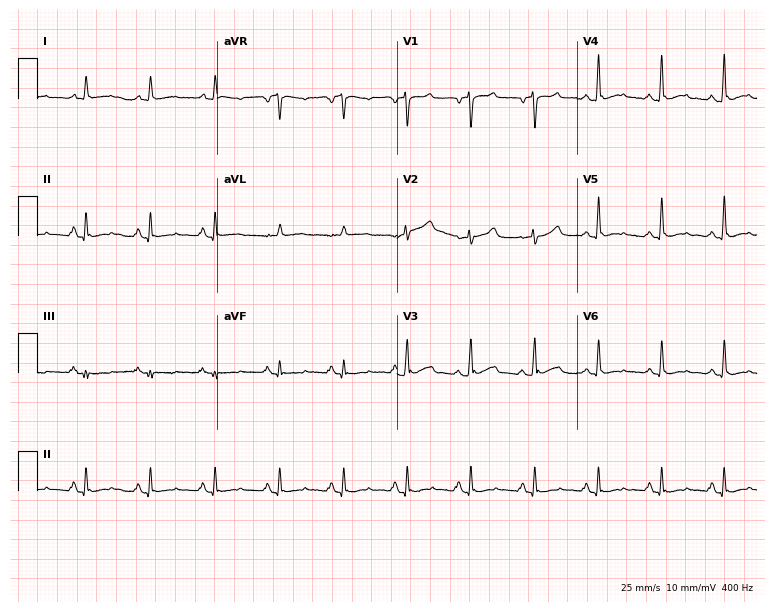
ECG — a 55-year-old male patient. Labelled as a normal ECG.